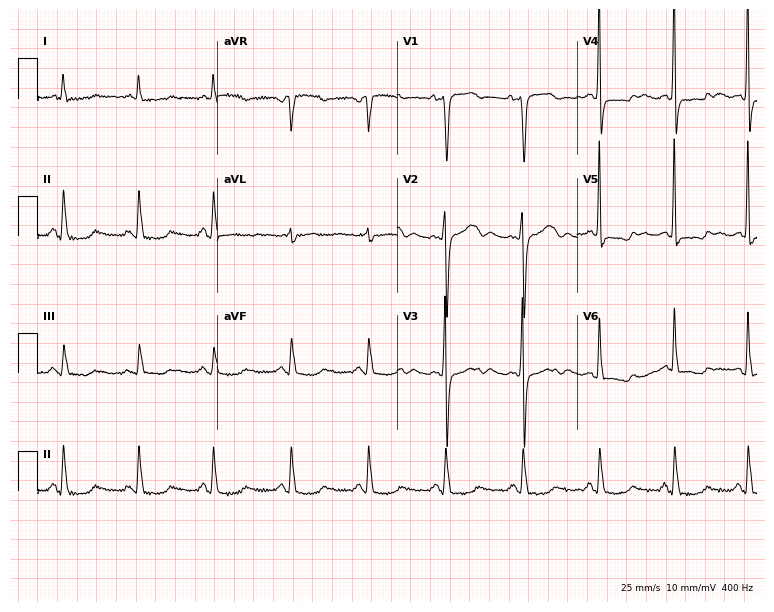
Resting 12-lead electrocardiogram. Patient: a woman, 60 years old. None of these six findings is recorded: first-degree AV block, right bundle branch block, left bundle branch block, sinus bradycardia, atrial fibrillation, sinus tachycardia.